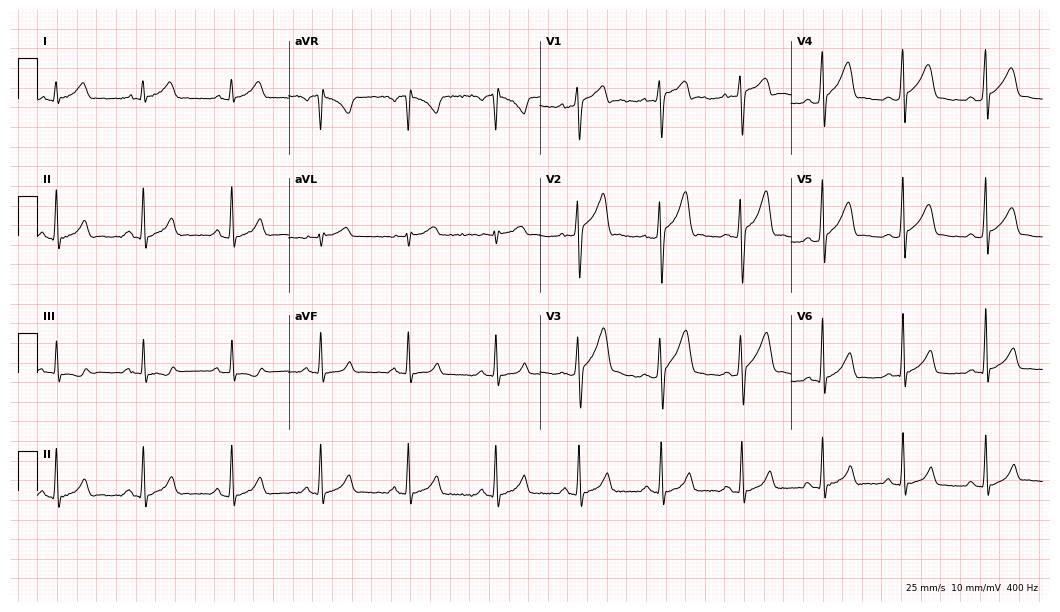
Resting 12-lead electrocardiogram. Patient: a 26-year-old male. Read as a normal ECG.